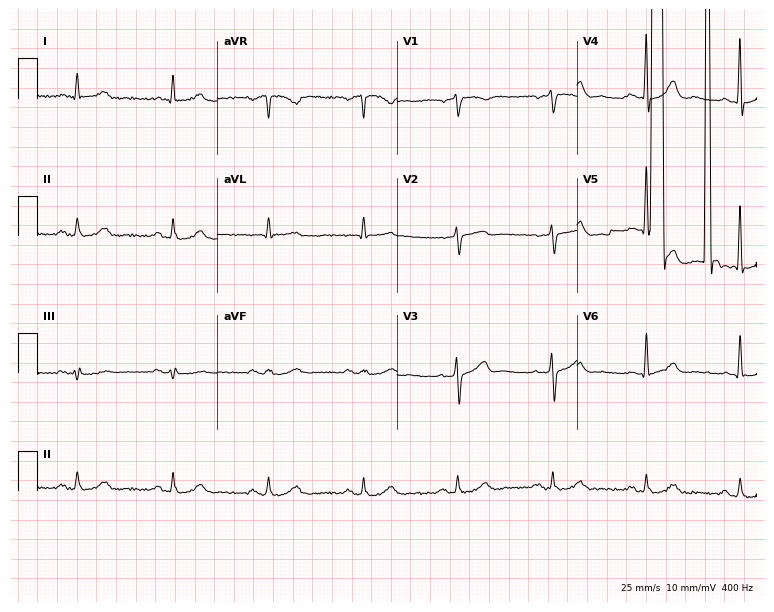
ECG (7.3-second recording at 400 Hz) — a 68-year-old male. Screened for six findings — first-degree AV block, right bundle branch block, left bundle branch block, sinus bradycardia, atrial fibrillation, sinus tachycardia — none is recorded. Other findings, if any, are not listed.